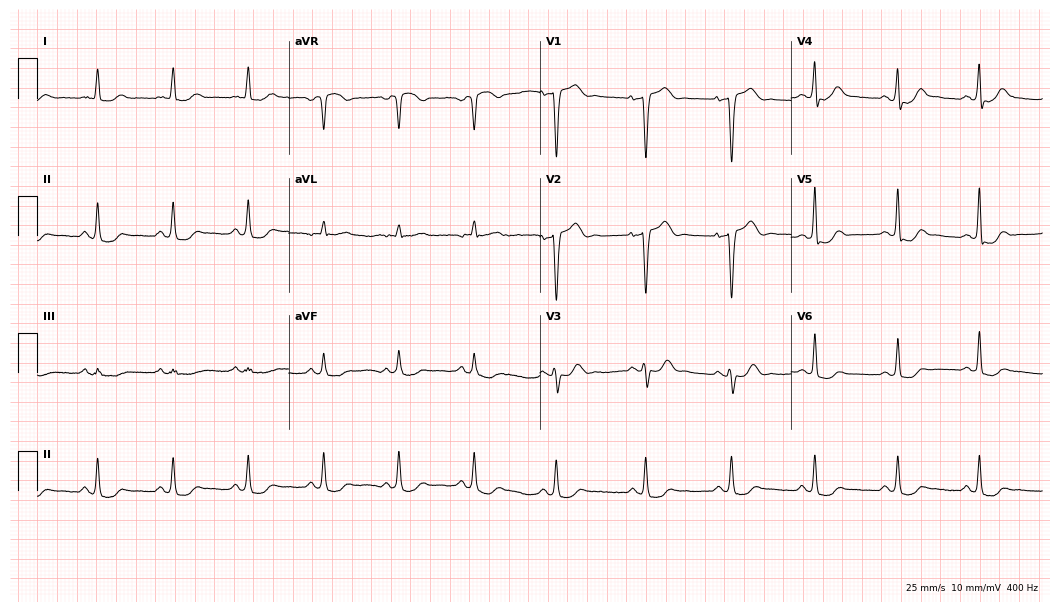
12-lead ECG from an 82-year-old female. Screened for six findings — first-degree AV block, right bundle branch block (RBBB), left bundle branch block (LBBB), sinus bradycardia, atrial fibrillation (AF), sinus tachycardia — none is recorded. Findings outside these six are not listed.